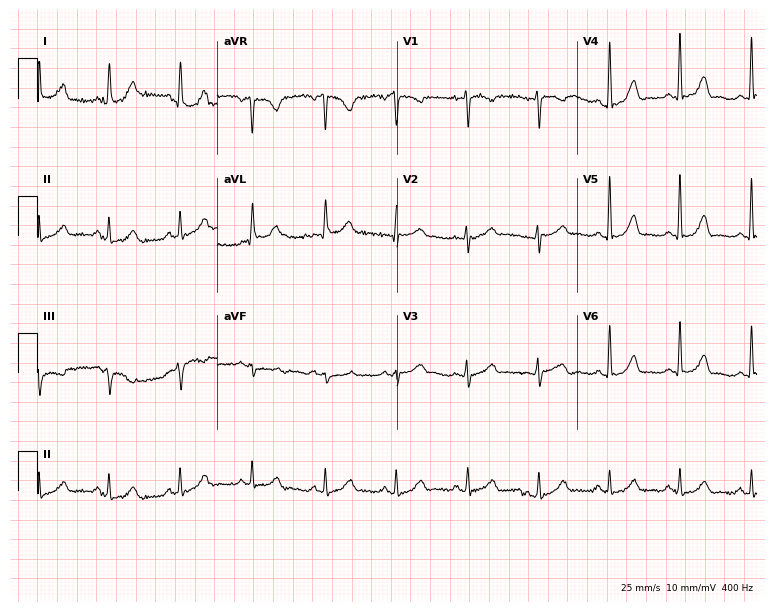
Electrocardiogram, a woman, 50 years old. Of the six screened findings (first-degree AV block, right bundle branch block, left bundle branch block, sinus bradycardia, atrial fibrillation, sinus tachycardia), none is recorded.